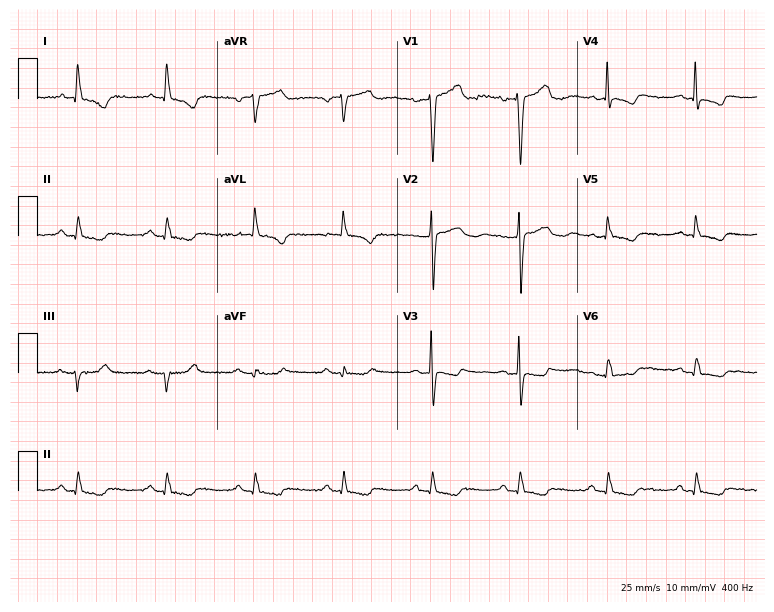
Electrocardiogram, a 66-year-old woman. Of the six screened findings (first-degree AV block, right bundle branch block, left bundle branch block, sinus bradycardia, atrial fibrillation, sinus tachycardia), none is recorded.